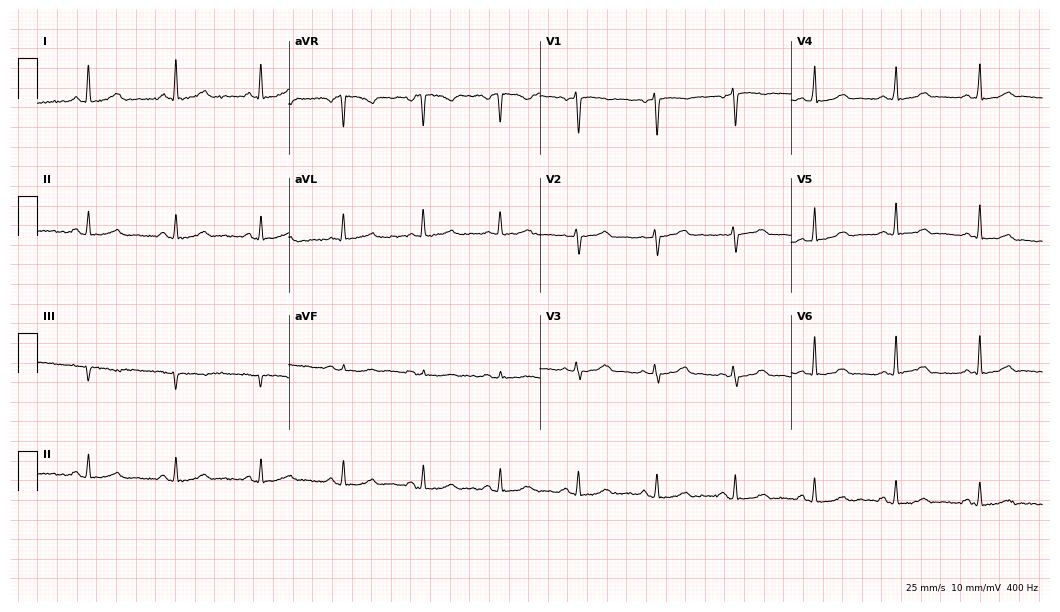
ECG — a female, 48 years old. Labelled as a normal ECG.